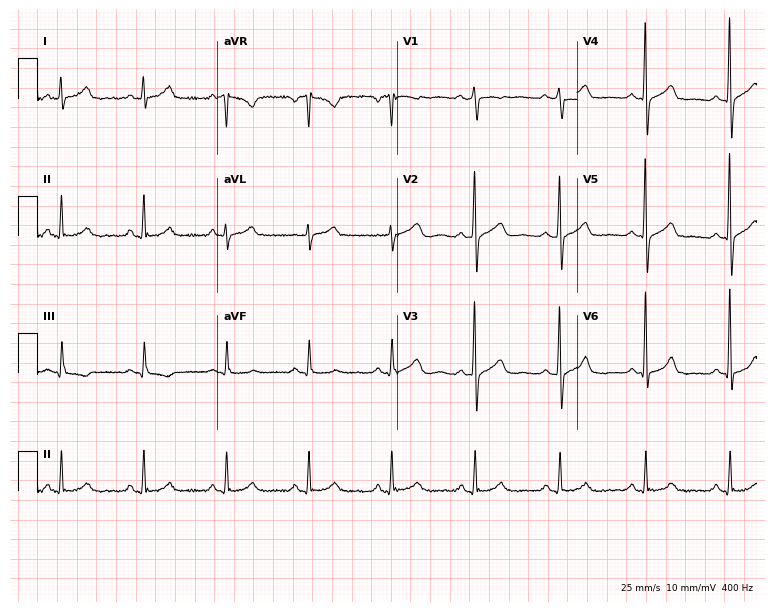
Standard 12-lead ECG recorded from a 54-year-old male. Read as a normal ECG.